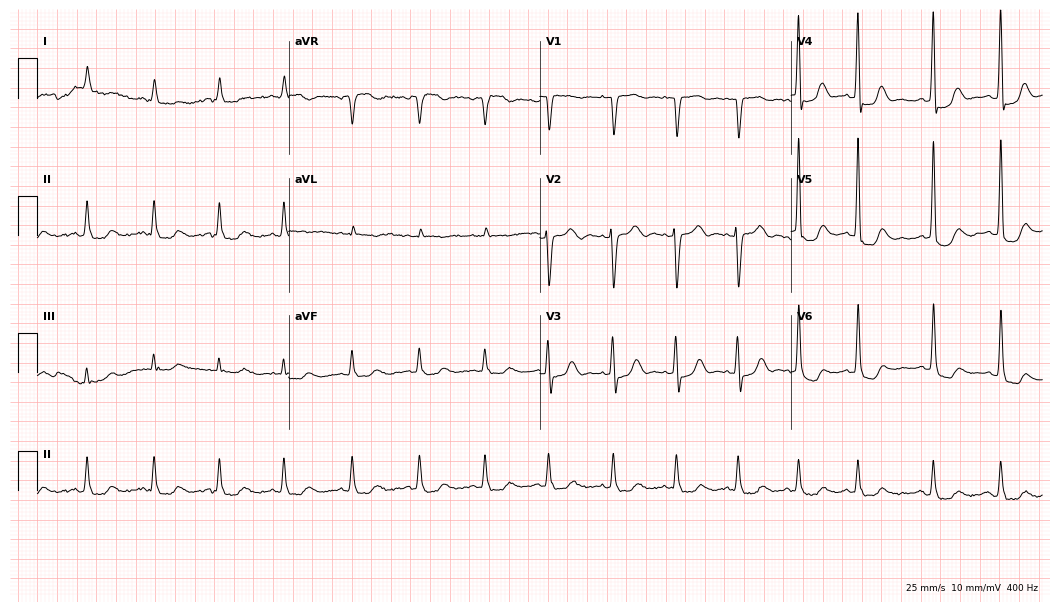
12-lead ECG from a female patient, 84 years old. Screened for six findings — first-degree AV block, right bundle branch block, left bundle branch block, sinus bradycardia, atrial fibrillation, sinus tachycardia — none is recorded. Other findings, if any, are not listed.